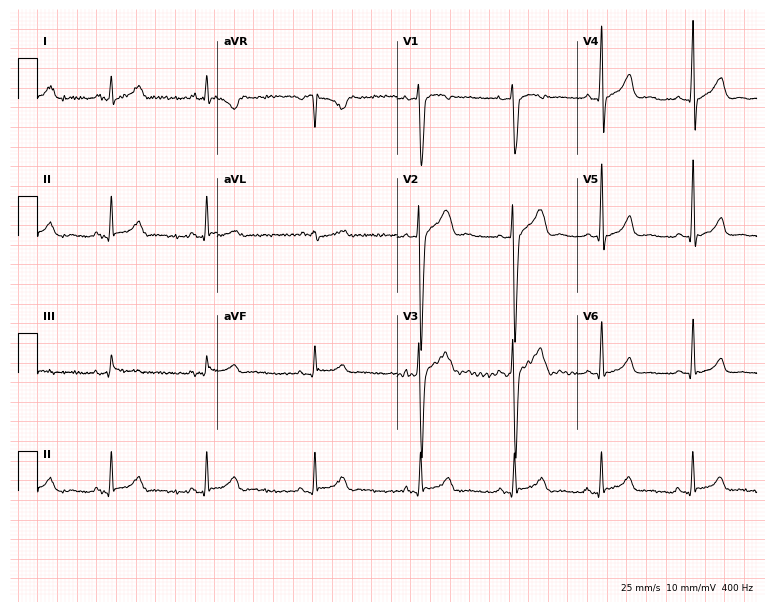
12-lead ECG from an 18-year-old man (7.3-second recording at 400 Hz). No first-degree AV block, right bundle branch block, left bundle branch block, sinus bradycardia, atrial fibrillation or sinus tachycardia recorded for this tracing. Only these six findings were labelled.